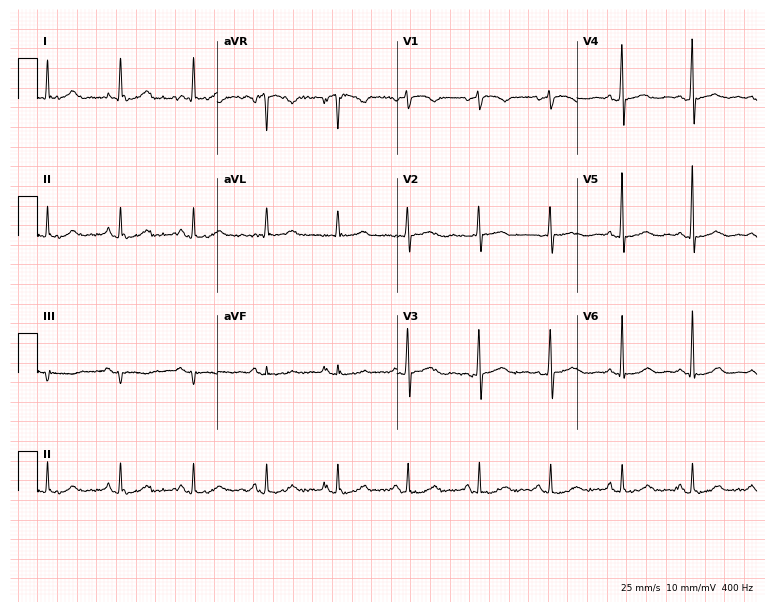
Electrocardiogram, a 61-year-old woman. Overall reading on record: normal ECG.